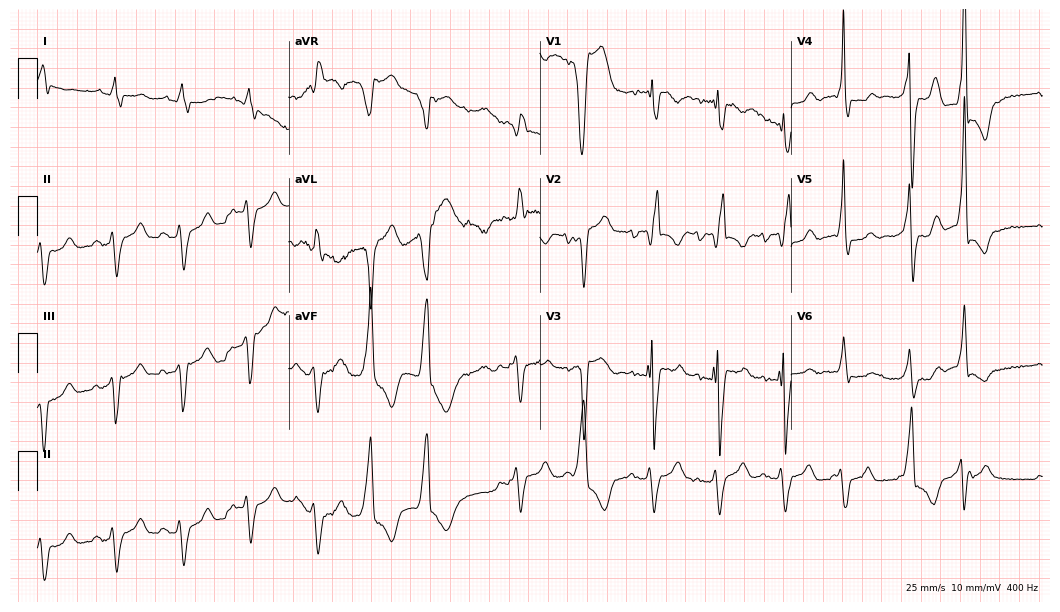
12-lead ECG from an 81-year-old male. Shows right bundle branch block.